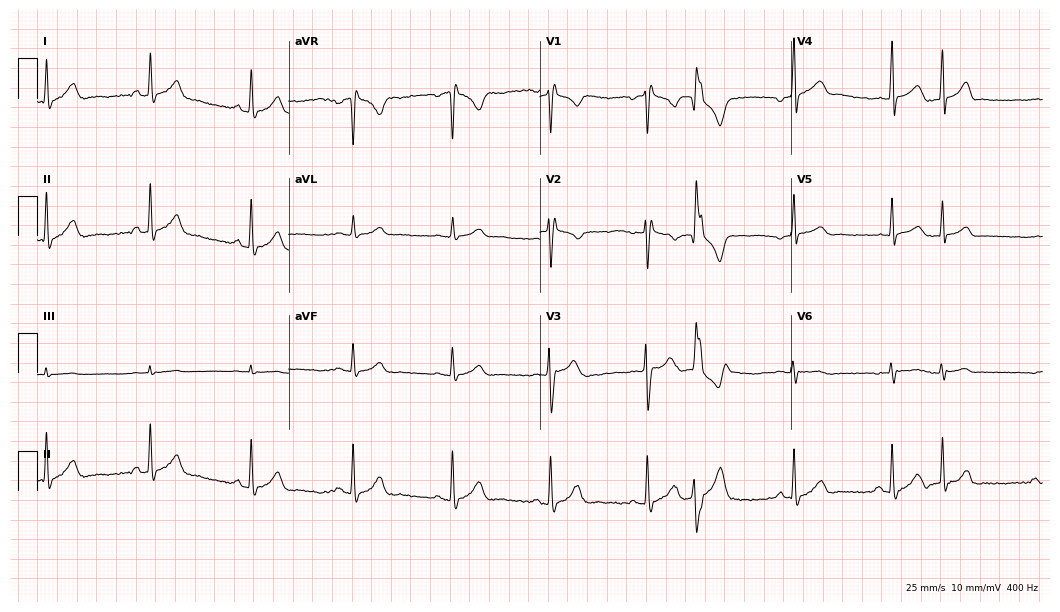
12-lead ECG (10.2-second recording at 400 Hz) from a male patient, 50 years old. Screened for six findings — first-degree AV block, right bundle branch block (RBBB), left bundle branch block (LBBB), sinus bradycardia, atrial fibrillation (AF), sinus tachycardia — none is recorded.